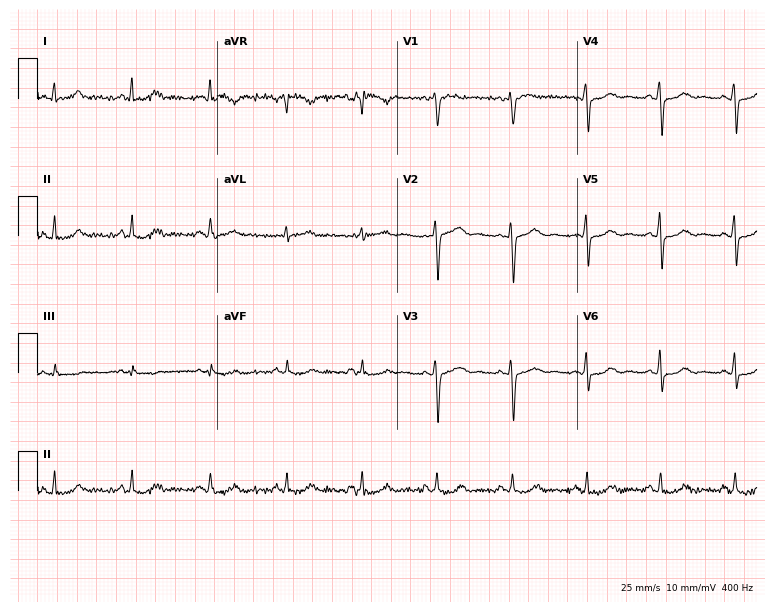
Resting 12-lead electrocardiogram. Patient: a woman, 44 years old. Read as a normal ECG.